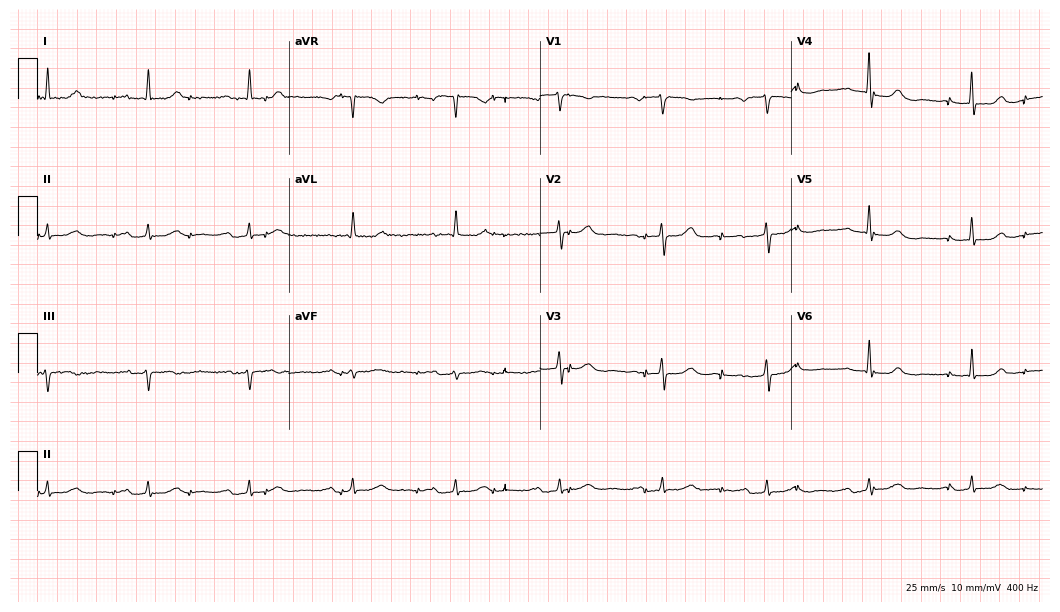
Electrocardiogram, a woman, 77 years old. Of the six screened findings (first-degree AV block, right bundle branch block (RBBB), left bundle branch block (LBBB), sinus bradycardia, atrial fibrillation (AF), sinus tachycardia), none is recorded. Other findings, if any, are not listed.